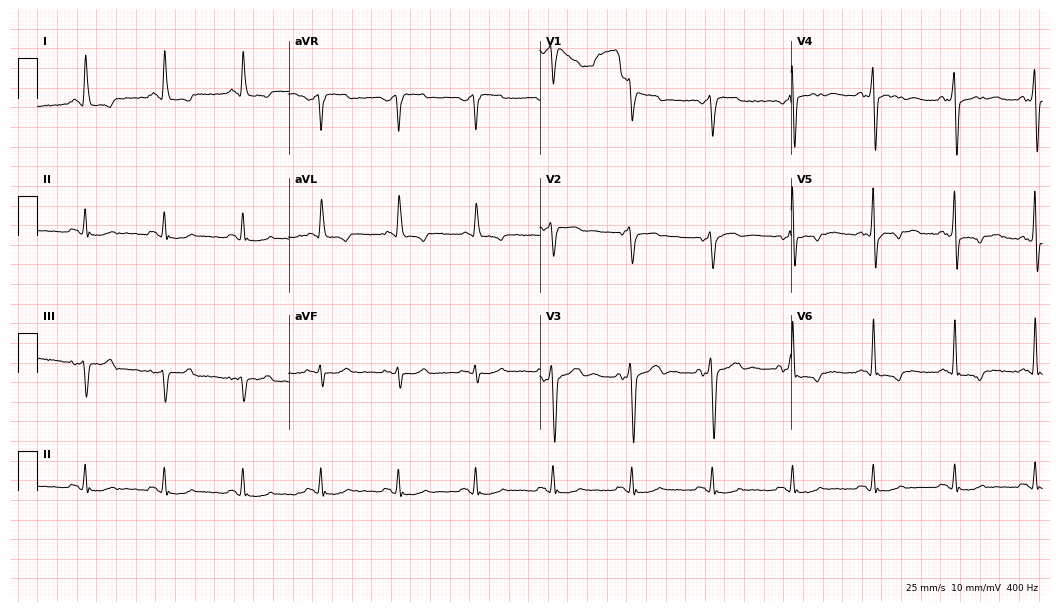
Standard 12-lead ECG recorded from a 44-year-old man. None of these six findings is recorded: first-degree AV block, right bundle branch block, left bundle branch block, sinus bradycardia, atrial fibrillation, sinus tachycardia. Findings outside these six are not listed.